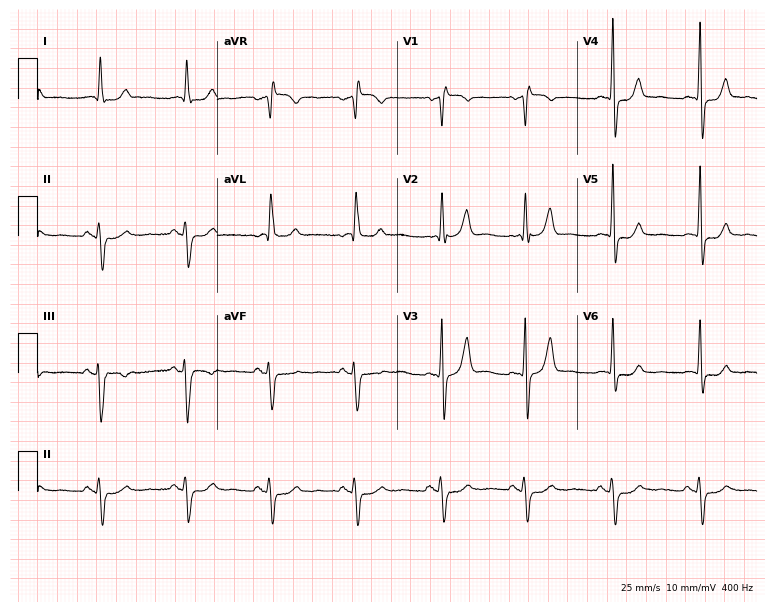
Electrocardiogram, a 69-year-old female. Interpretation includes right bundle branch block (RBBB).